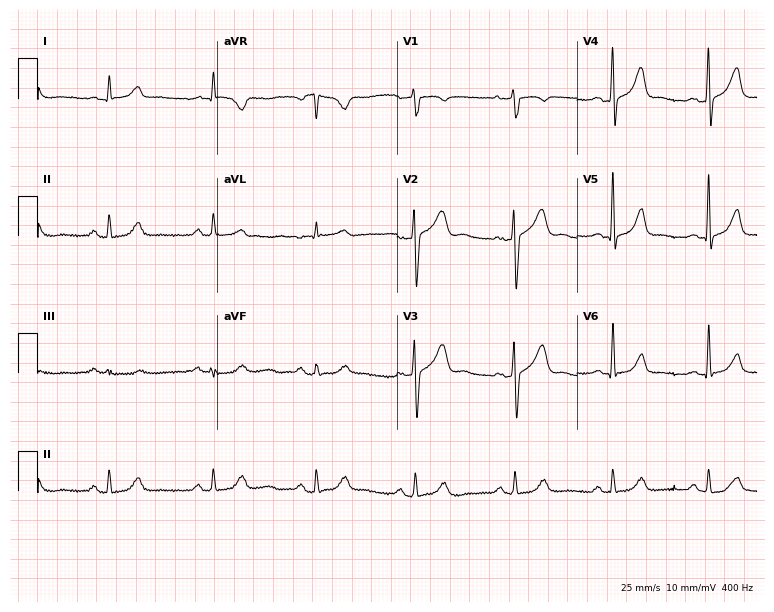
Resting 12-lead electrocardiogram (7.3-second recording at 400 Hz). Patient: a male, 51 years old. Read as a normal ECG.